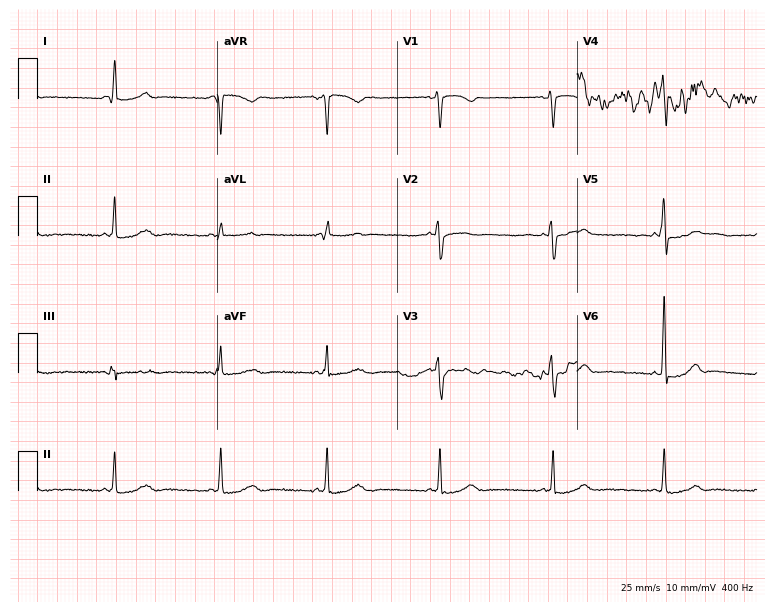
Electrocardiogram, a 64-year-old woman. Of the six screened findings (first-degree AV block, right bundle branch block (RBBB), left bundle branch block (LBBB), sinus bradycardia, atrial fibrillation (AF), sinus tachycardia), none is recorded.